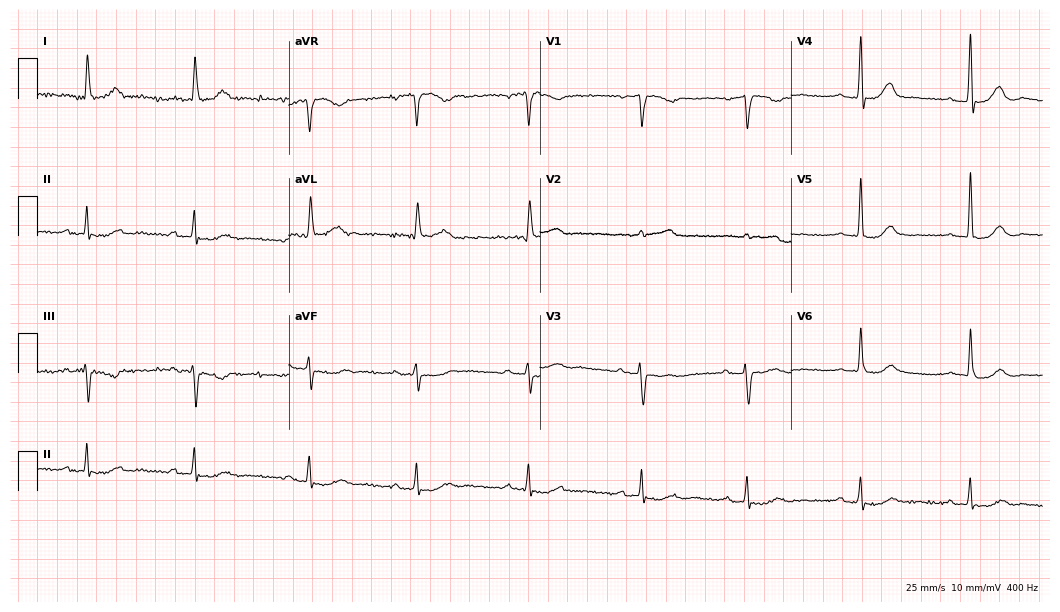
12-lead ECG from a woman, 72 years old (10.2-second recording at 400 Hz). Shows first-degree AV block.